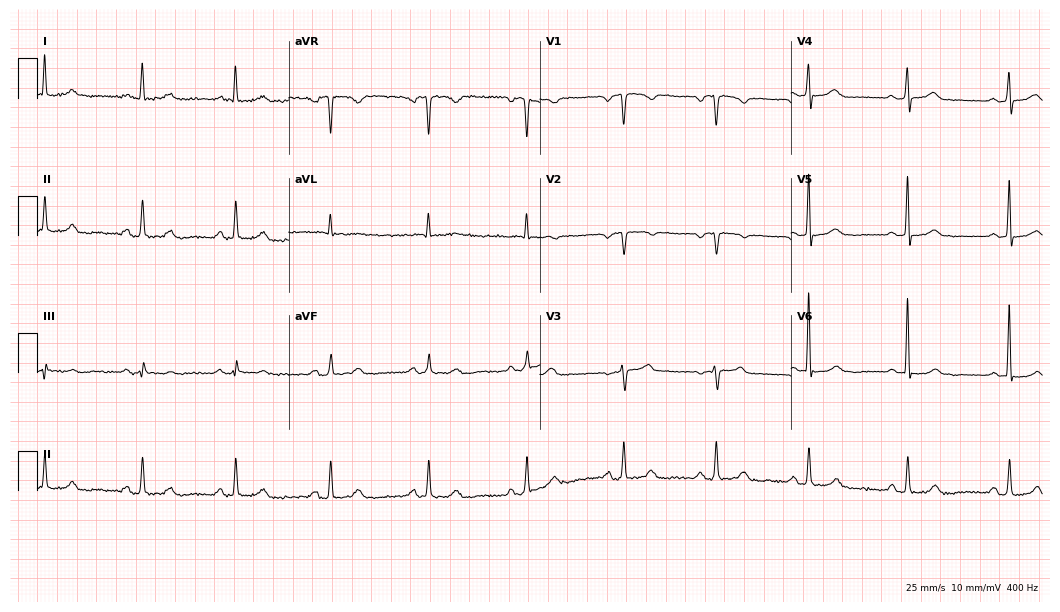
Standard 12-lead ECG recorded from a woman, 56 years old. None of these six findings is recorded: first-degree AV block, right bundle branch block (RBBB), left bundle branch block (LBBB), sinus bradycardia, atrial fibrillation (AF), sinus tachycardia.